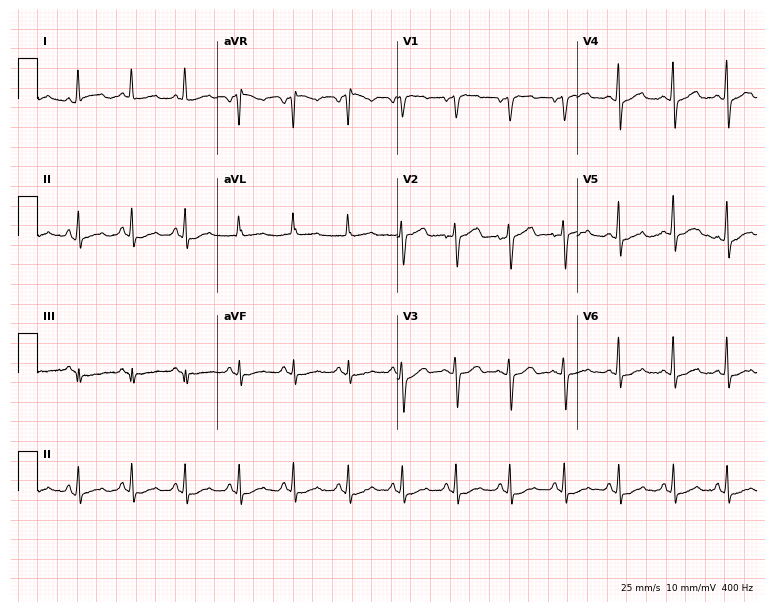
Electrocardiogram, a female, 65 years old. Of the six screened findings (first-degree AV block, right bundle branch block (RBBB), left bundle branch block (LBBB), sinus bradycardia, atrial fibrillation (AF), sinus tachycardia), none is recorded. Other findings, if any, are not listed.